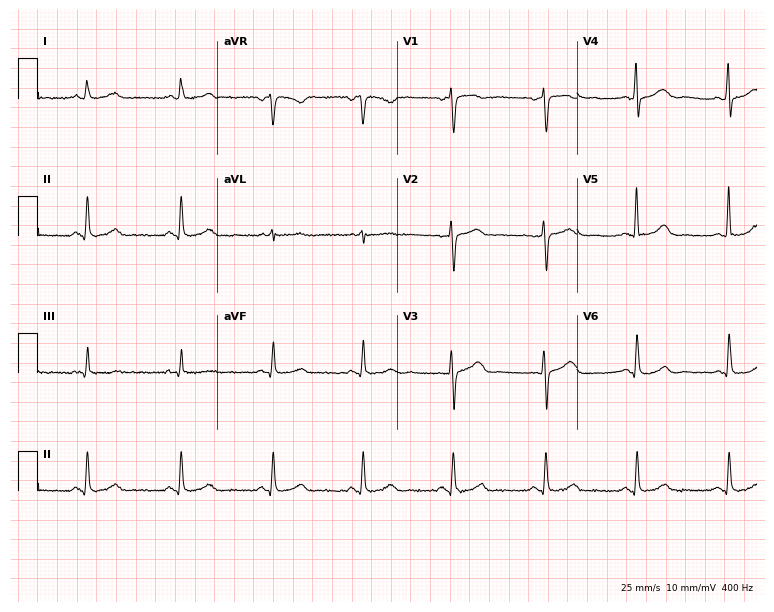
Standard 12-lead ECG recorded from a woman, 41 years old (7.3-second recording at 400 Hz). Read as a normal ECG.